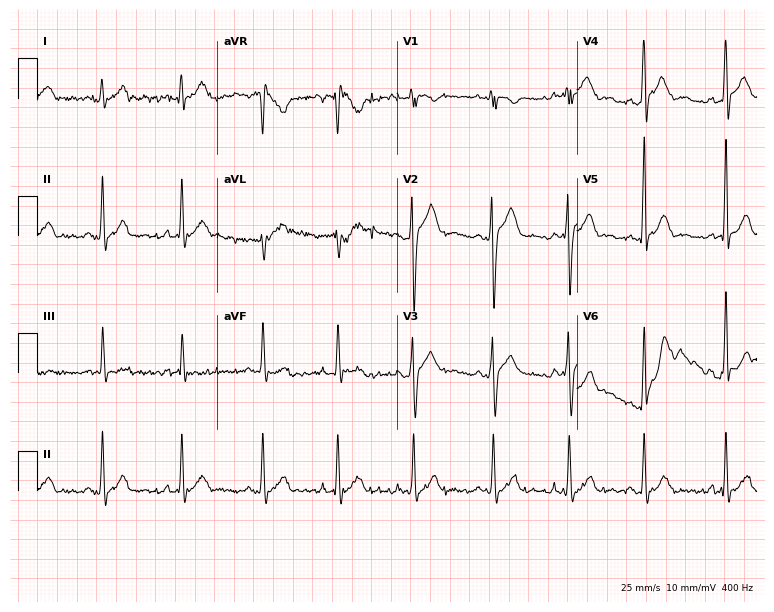
Electrocardiogram (7.3-second recording at 400 Hz), a man, 26 years old. Overall reading on record: normal ECG.